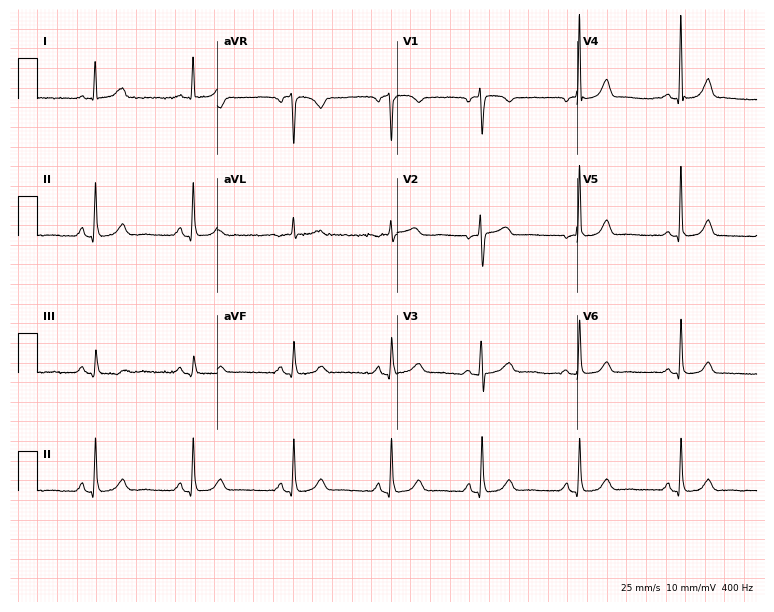
12-lead ECG from a female patient, 63 years old. Labelled as a normal ECG.